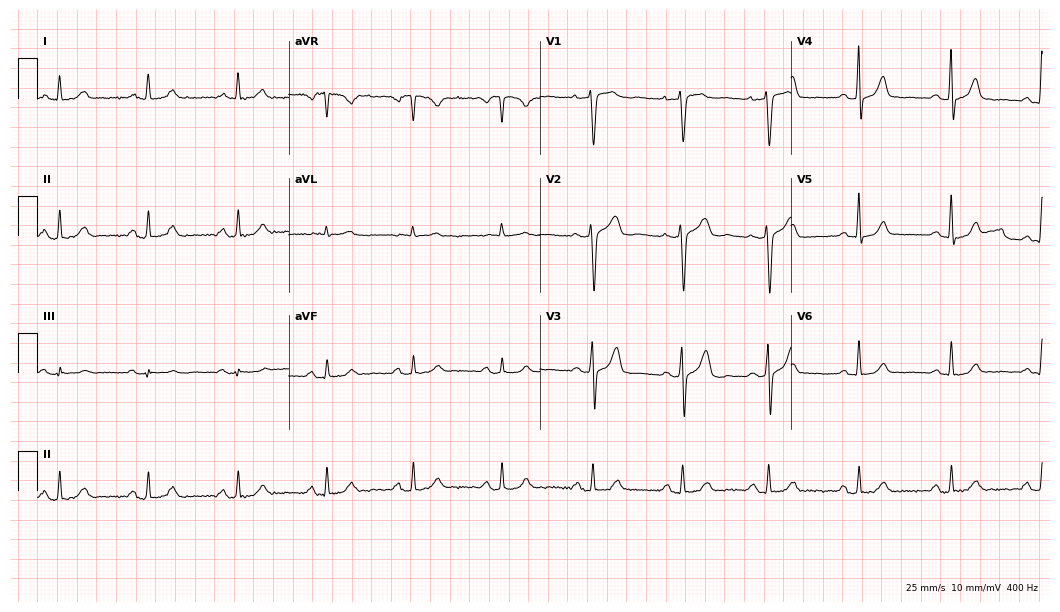
Standard 12-lead ECG recorded from a 58-year-old female. None of these six findings is recorded: first-degree AV block, right bundle branch block, left bundle branch block, sinus bradycardia, atrial fibrillation, sinus tachycardia. Other findings, if any, are not listed.